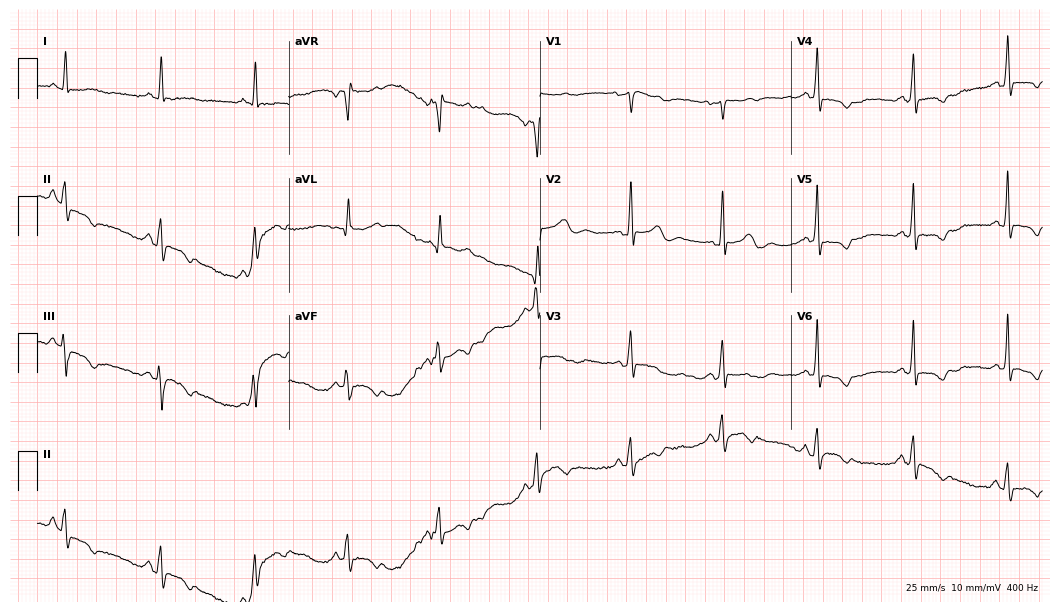
Electrocardiogram, a 66-year-old female. Of the six screened findings (first-degree AV block, right bundle branch block (RBBB), left bundle branch block (LBBB), sinus bradycardia, atrial fibrillation (AF), sinus tachycardia), none is recorded.